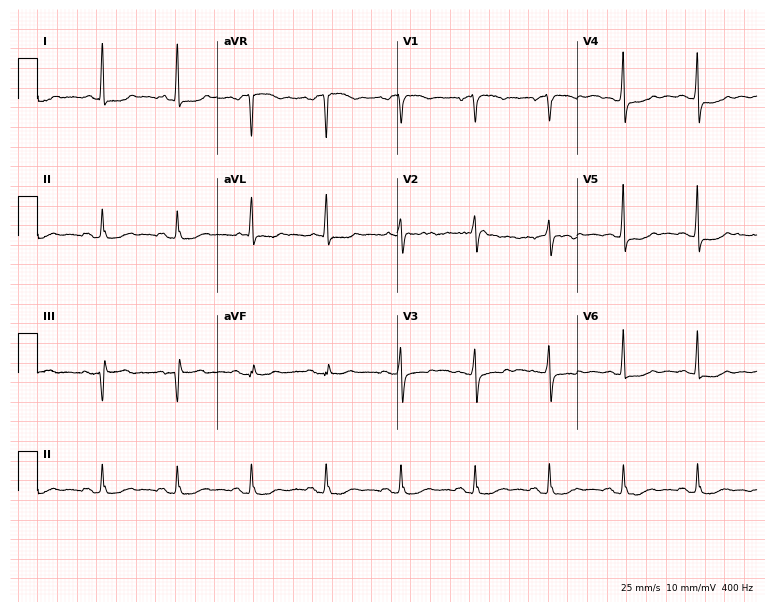
ECG — a 67-year-old woman. Screened for six findings — first-degree AV block, right bundle branch block (RBBB), left bundle branch block (LBBB), sinus bradycardia, atrial fibrillation (AF), sinus tachycardia — none is recorded. Other findings, if any, are not listed.